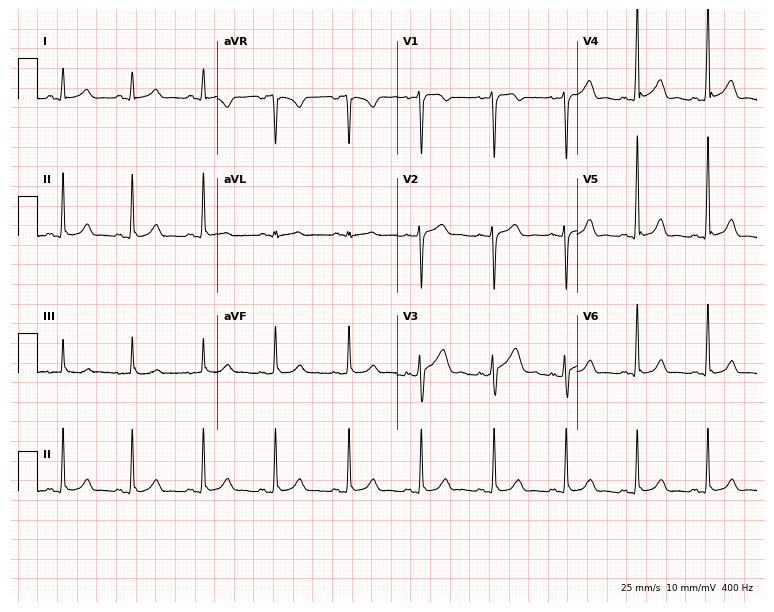
Resting 12-lead electrocardiogram (7.3-second recording at 400 Hz). Patient: a male, 26 years old. Read as a normal ECG.